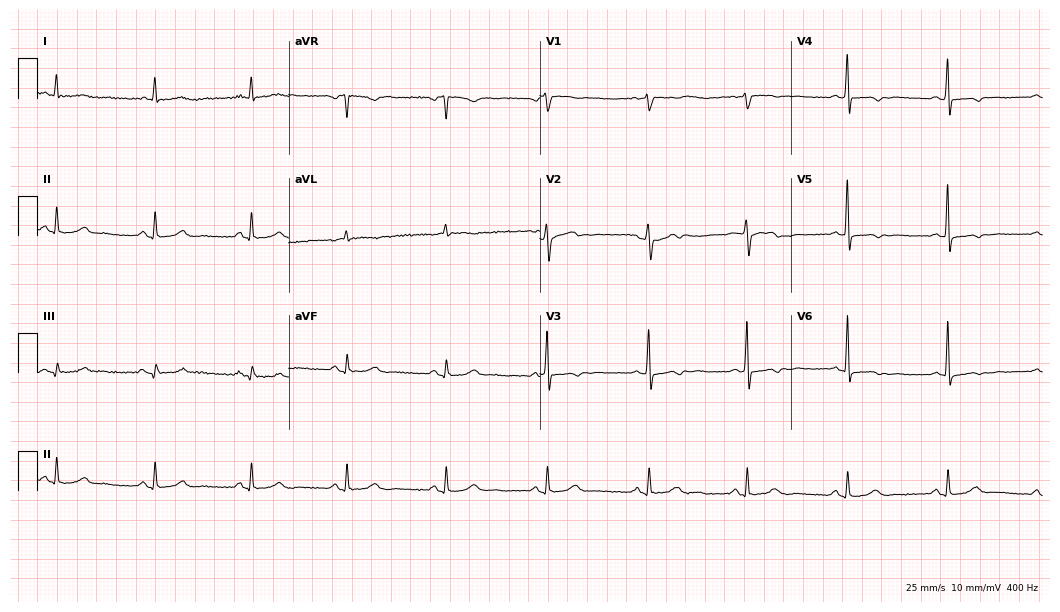
12-lead ECG from a 60-year-old woman (10.2-second recording at 400 Hz). No first-degree AV block, right bundle branch block, left bundle branch block, sinus bradycardia, atrial fibrillation or sinus tachycardia recorded for this tracing.